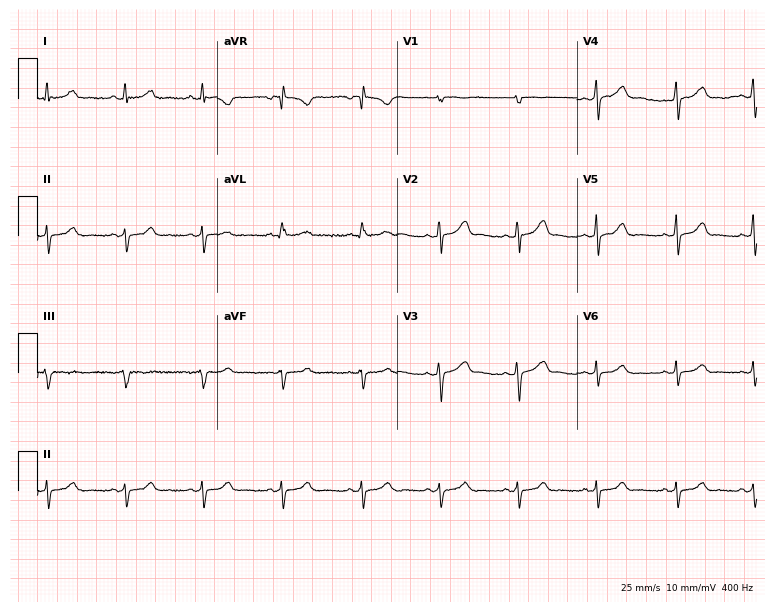
12-lead ECG from a female patient, 30 years old (7.3-second recording at 400 Hz). No first-degree AV block, right bundle branch block, left bundle branch block, sinus bradycardia, atrial fibrillation or sinus tachycardia recorded for this tracing.